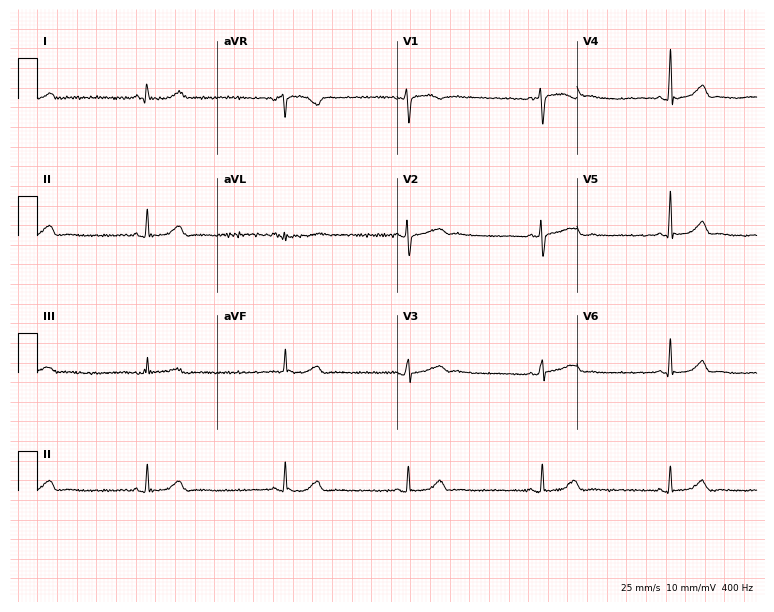
ECG (7.3-second recording at 400 Hz) — a female, 20 years old. Findings include sinus bradycardia (a sinus rate of 50 beats per minute or less).